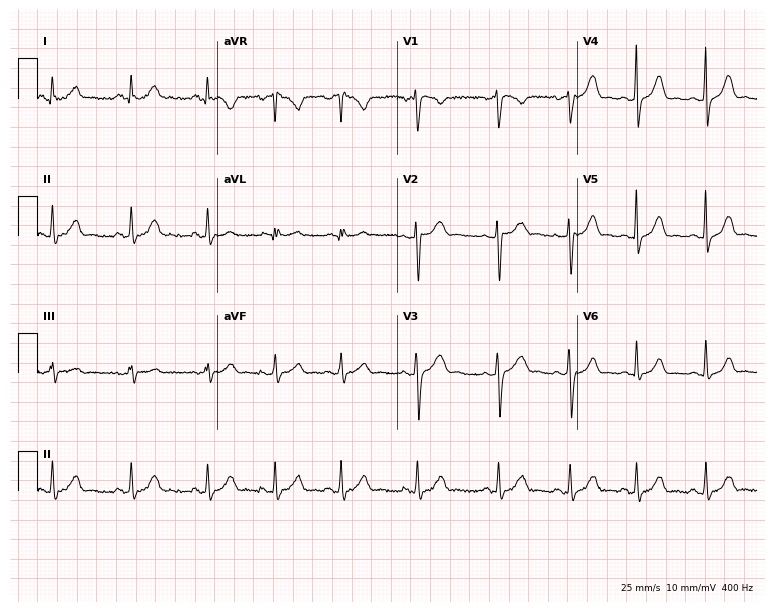
Standard 12-lead ECG recorded from a 23-year-old female patient (7.3-second recording at 400 Hz). Read as a normal ECG.